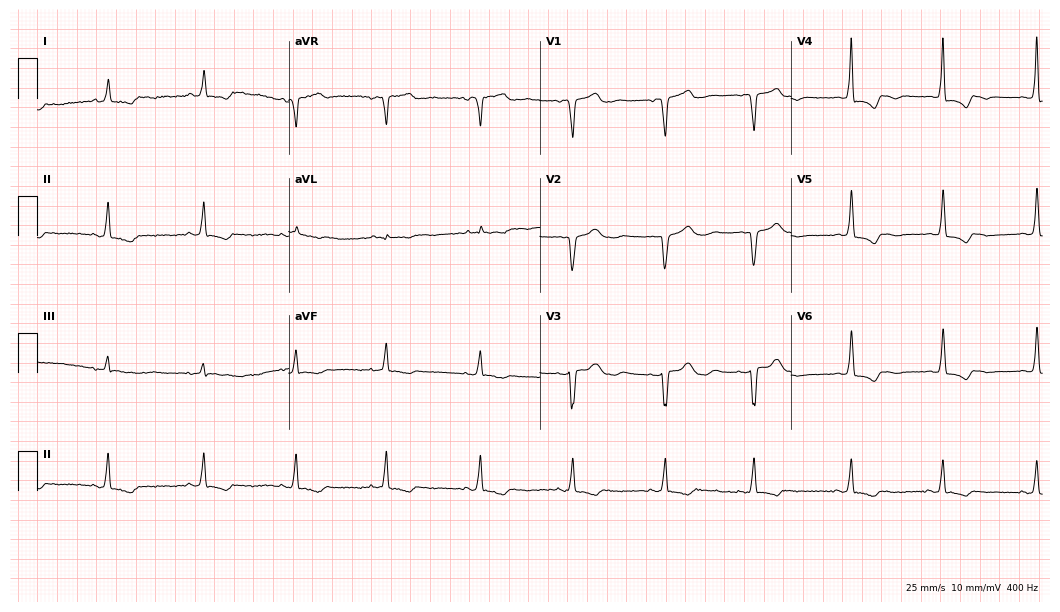
12-lead ECG from a 76-year-old female. No first-degree AV block, right bundle branch block (RBBB), left bundle branch block (LBBB), sinus bradycardia, atrial fibrillation (AF) or sinus tachycardia recorded for this tracing.